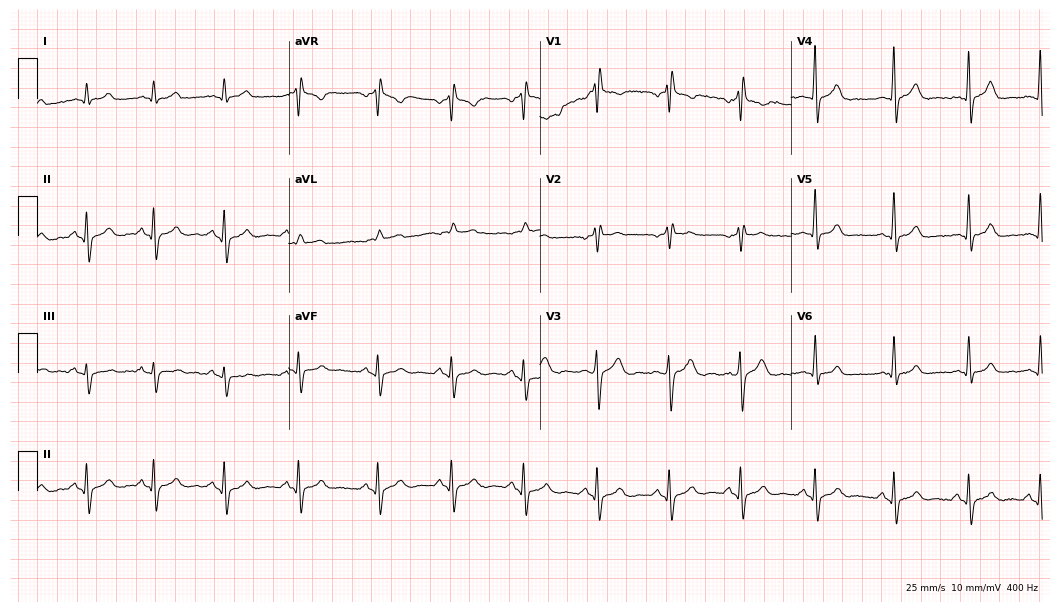
12-lead ECG from a man, 30 years old. Shows right bundle branch block.